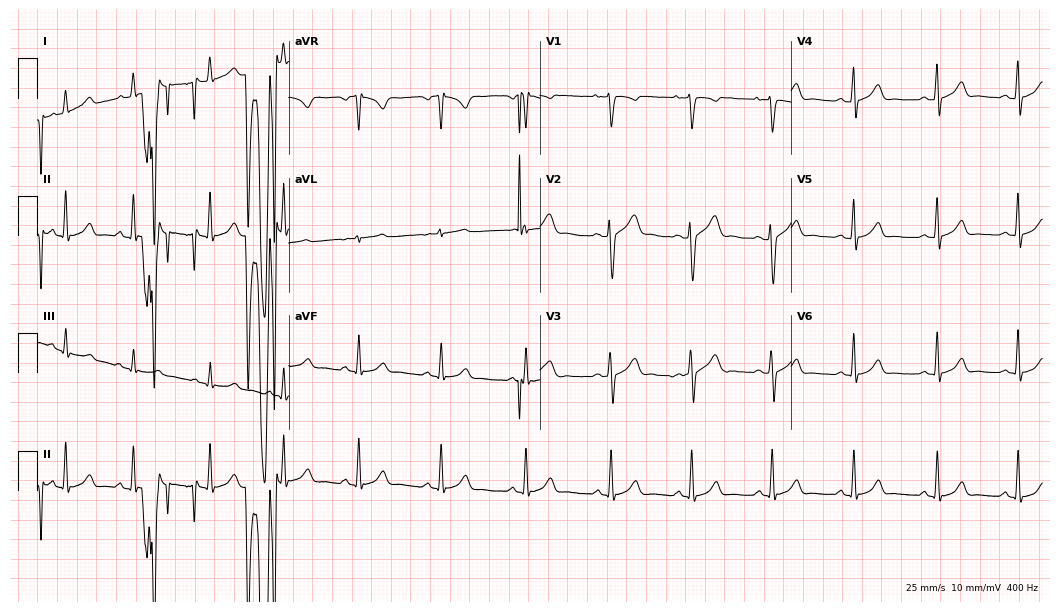
Standard 12-lead ECG recorded from a woman, 21 years old. None of these six findings is recorded: first-degree AV block, right bundle branch block (RBBB), left bundle branch block (LBBB), sinus bradycardia, atrial fibrillation (AF), sinus tachycardia.